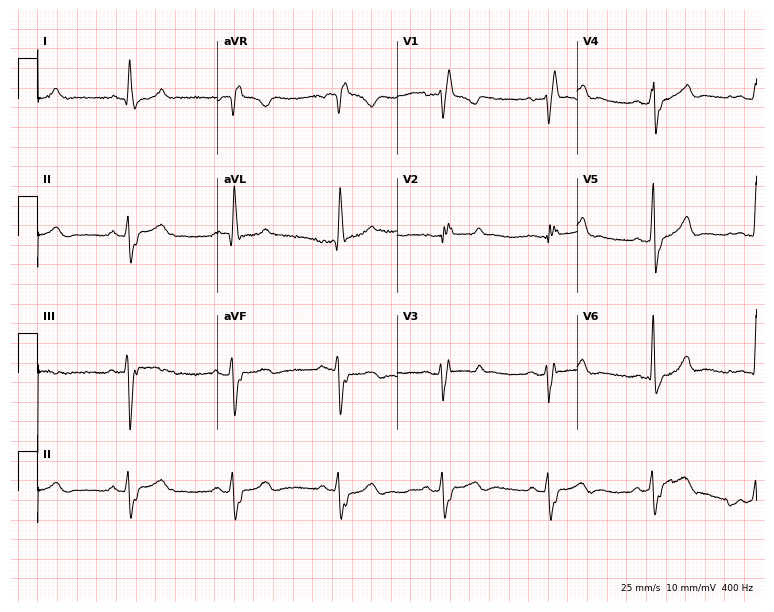
Standard 12-lead ECG recorded from a 49-year-old female (7.3-second recording at 400 Hz). The tracing shows right bundle branch block (RBBB).